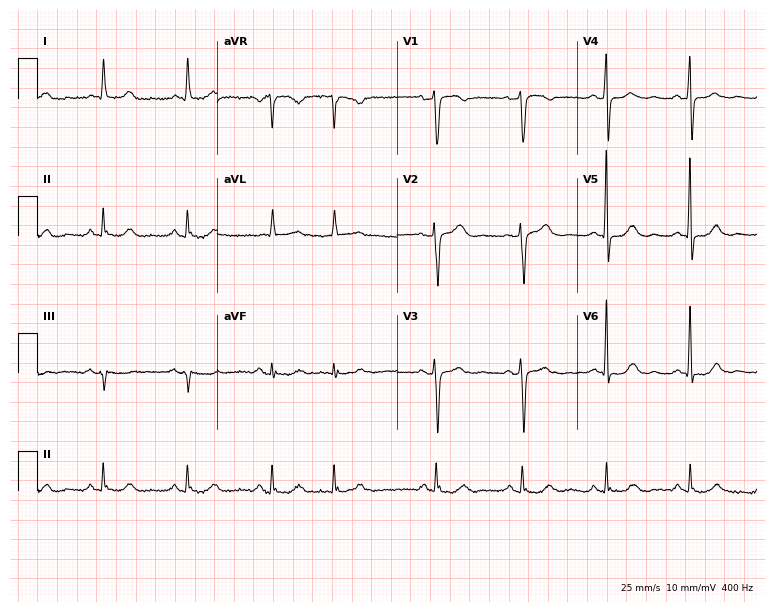
Standard 12-lead ECG recorded from a female, 76 years old. None of these six findings is recorded: first-degree AV block, right bundle branch block, left bundle branch block, sinus bradycardia, atrial fibrillation, sinus tachycardia.